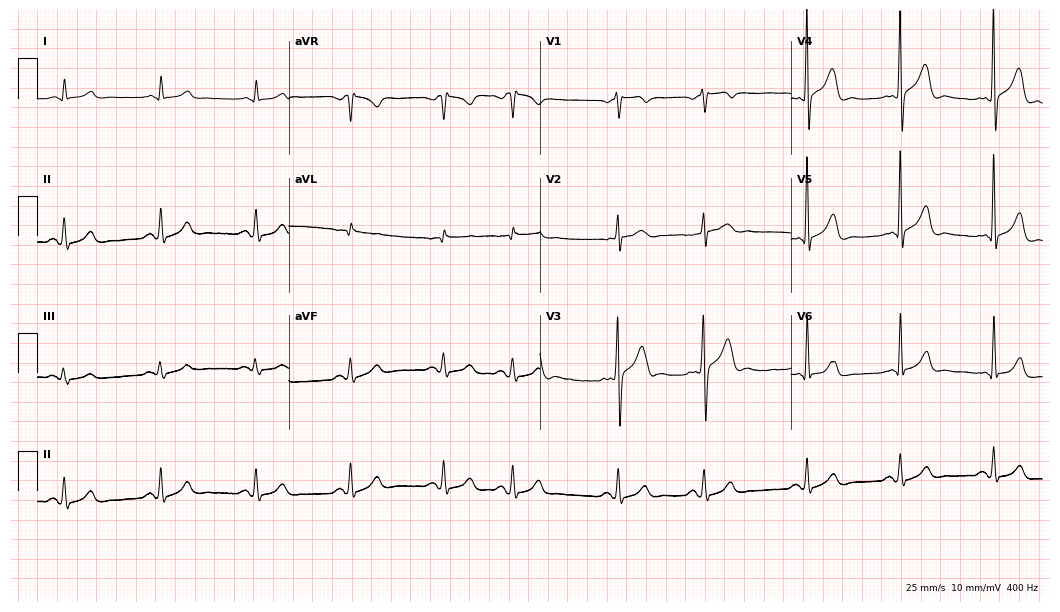
Resting 12-lead electrocardiogram. Patient: a man, 73 years old. None of these six findings is recorded: first-degree AV block, right bundle branch block, left bundle branch block, sinus bradycardia, atrial fibrillation, sinus tachycardia. Only these six findings were labelled.